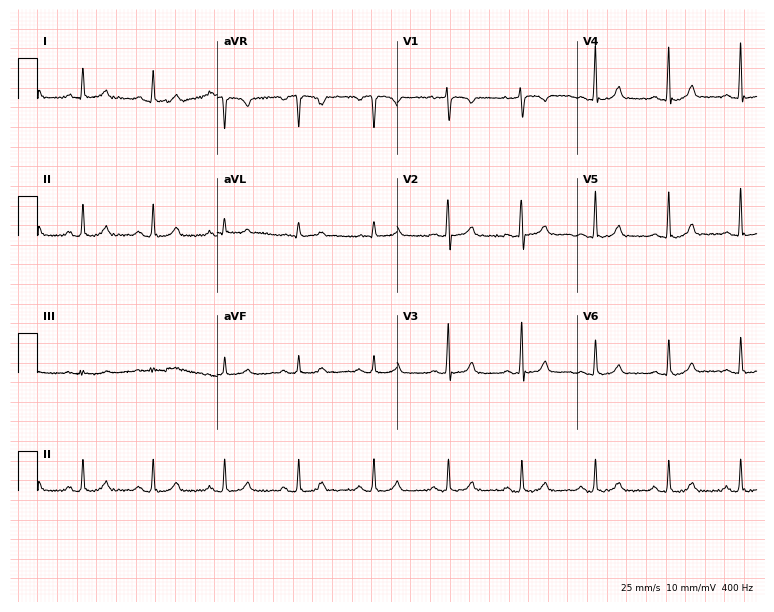
Electrocardiogram (7.3-second recording at 400 Hz), a female patient, 53 years old. Overall reading on record: normal ECG.